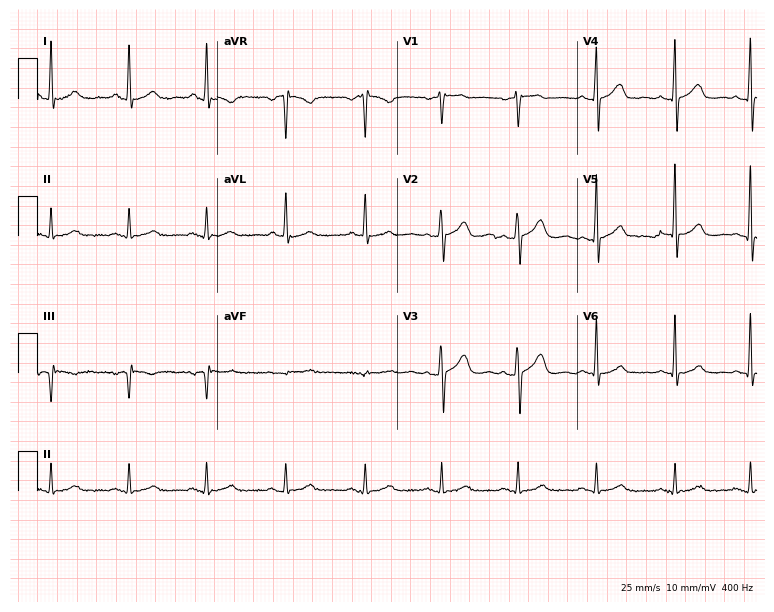
12-lead ECG (7.3-second recording at 400 Hz) from a 50-year-old woman. Labelled as a normal ECG.